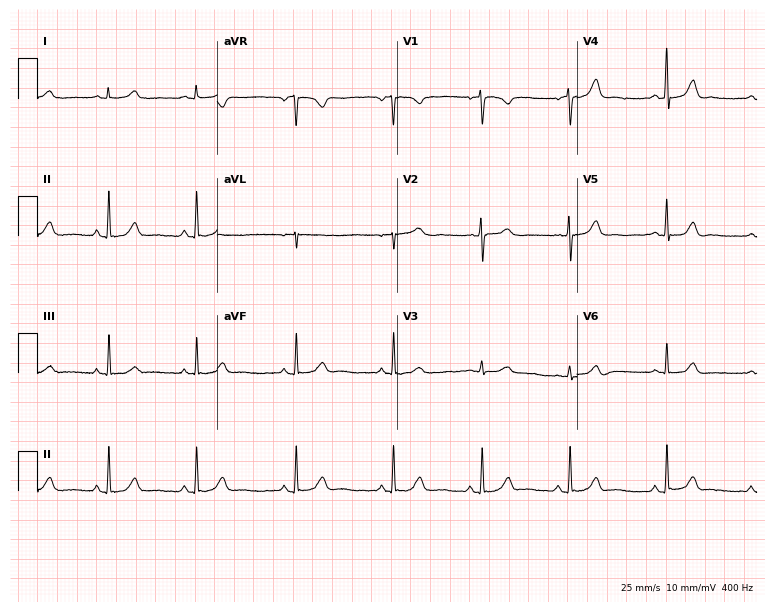
Resting 12-lead electrocardiogram (7.3-second recording at 400 Hz). Patient: a woman, 23 years old. Read as a normal ECG.